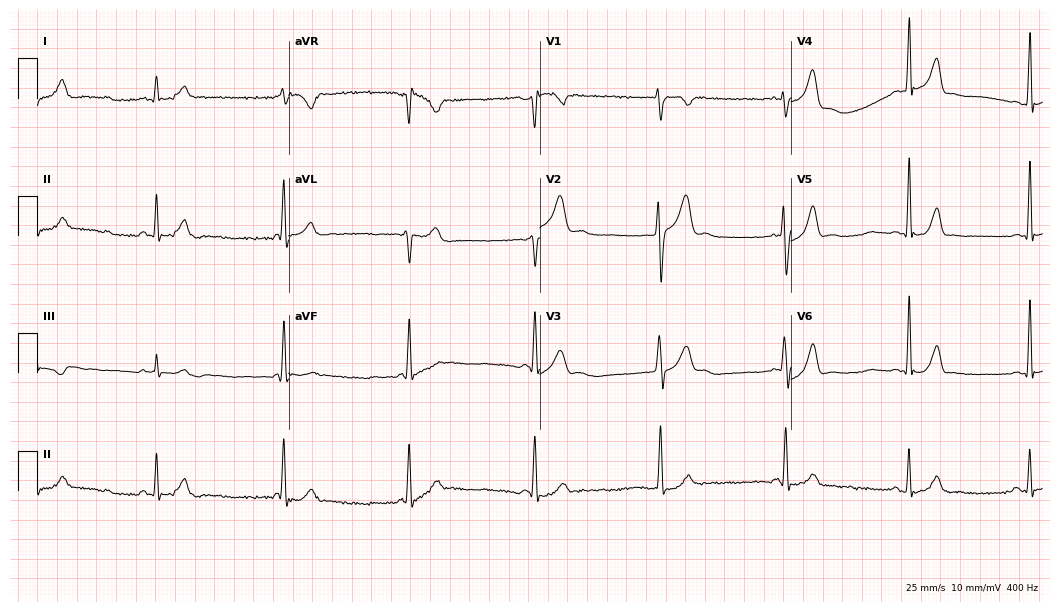
Electrocardiogram (10.2-second recording at 400 Hz), a male, 27 years old. Of the six screened findings (first-degree AV block, right bundle branch block, left bundle branch block, sinus bradycardia, atrial fibrillation, sinus tachycardia), none is recorded. Findings outside these six are not listed.